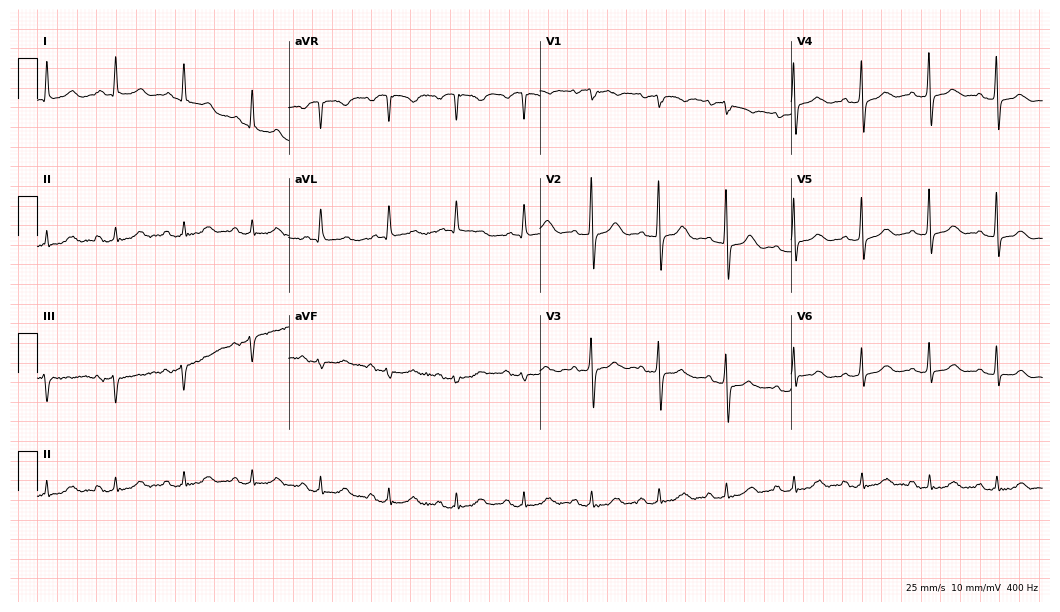
12-lead ECG (10.2-second recording at 400 Hz) from a 76-year-old female. Labelled as a normal ECG.